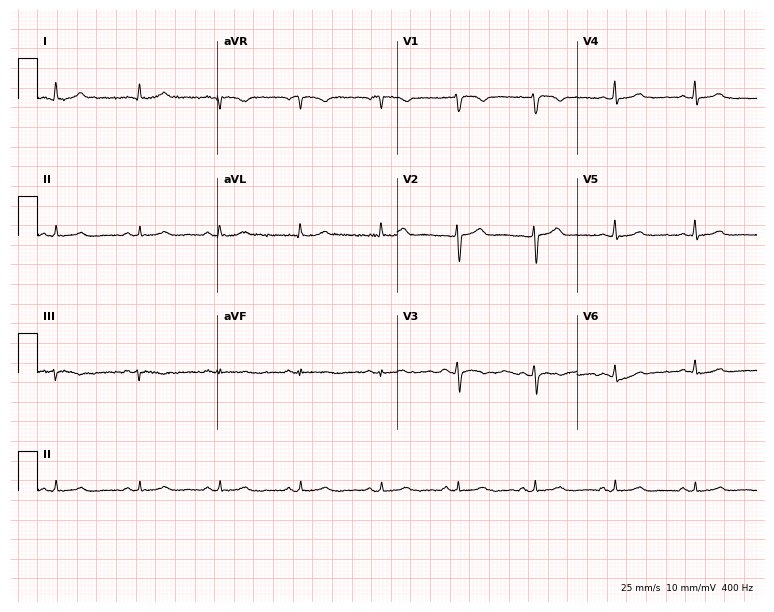
Resting 12-lead electrocardiogram. Patient: a woman, 52 years old. Read as a normal ECG.